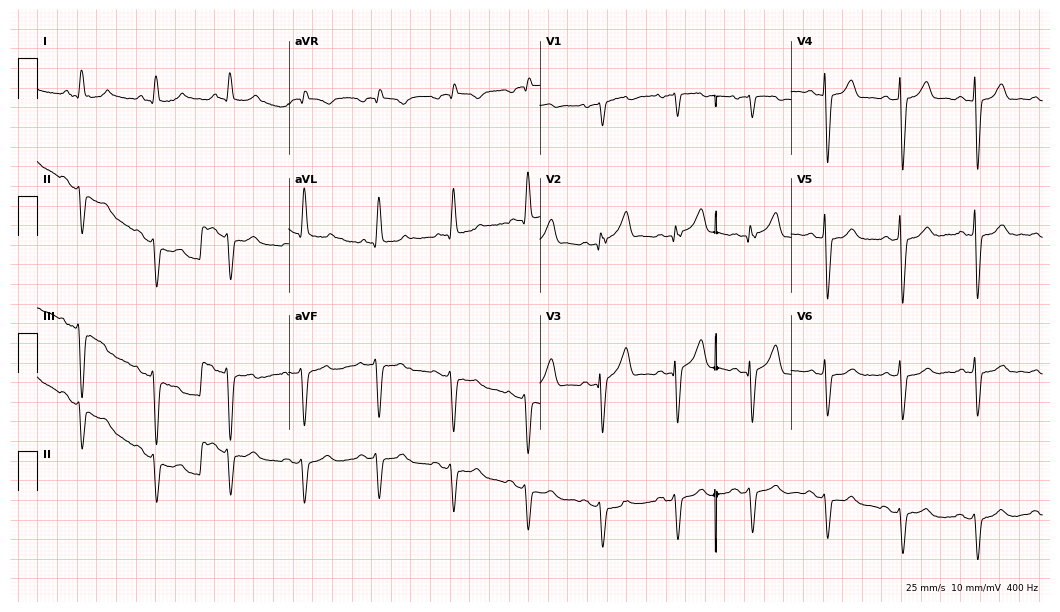
12-lead ECG from an 83-year-old male. Screened for six findings — first-degree AV block, right bundle branch block (RBBB), left bundle branch block (LBBB), sinus bradycardia, atrial fibrillation (AF), sinus tachycardia — none is recorded. Other findings, if any, are not listed.